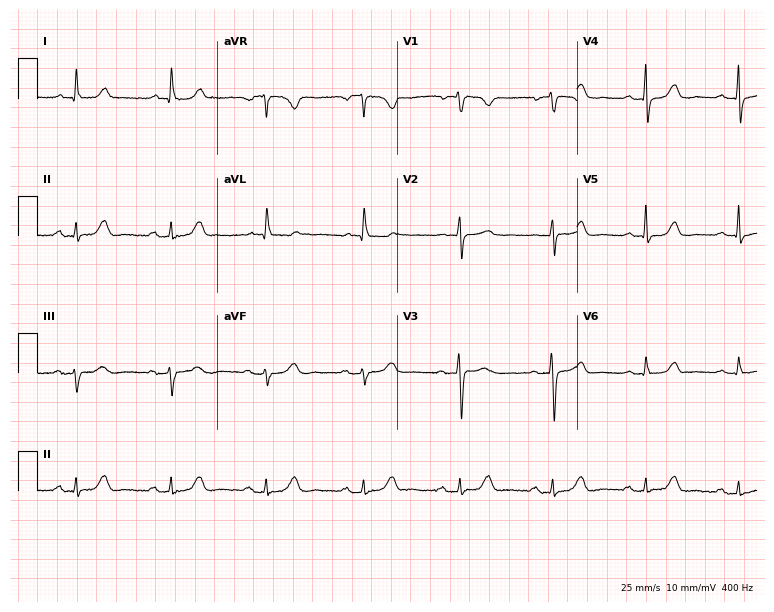
12-lead ECG from a 67-year-old female patient. Recorded interpretation: within normal limits.